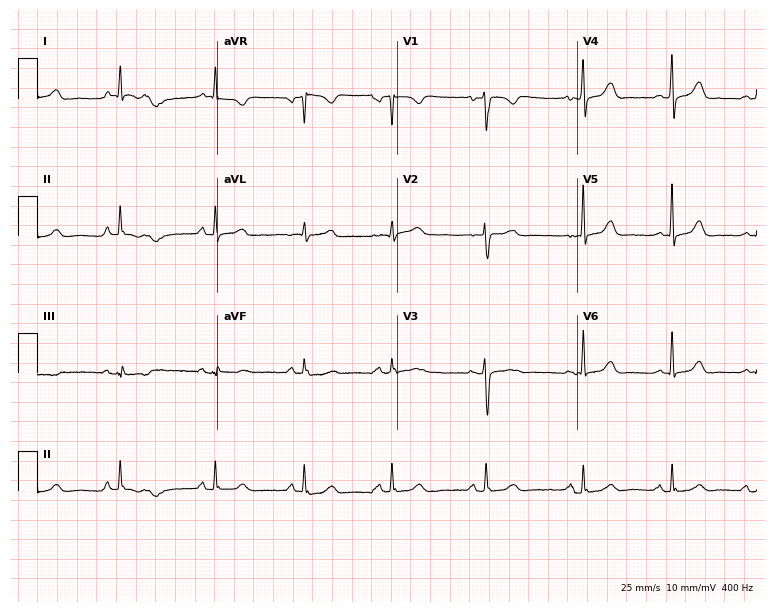
12-lead ECG from a female patient, 32 years old (7.3-second recording at 400 Hz). Recorded interpretation: within normal limits.